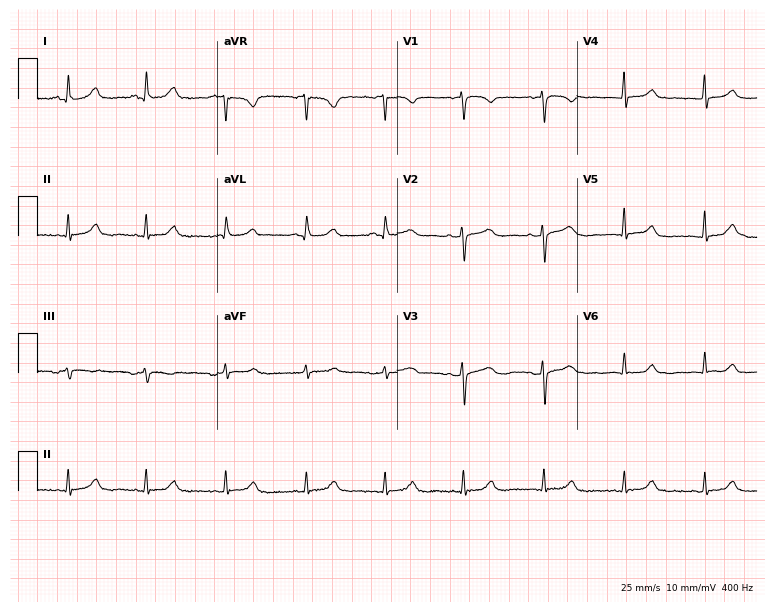
12-lead ECG (7.3-second recording at 400 Hz) from a 75-year-old female patient. Labelled as a normal ECG.